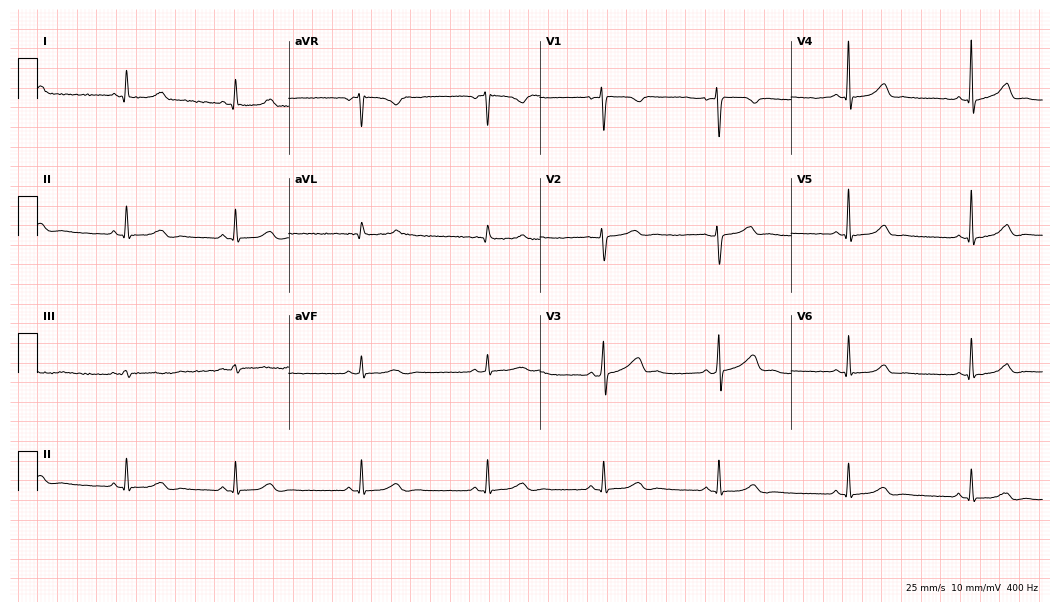
ECG (10.2-second recording at 400 Hz) — a 39-year-old female patient. Labelled as a normal ECG.